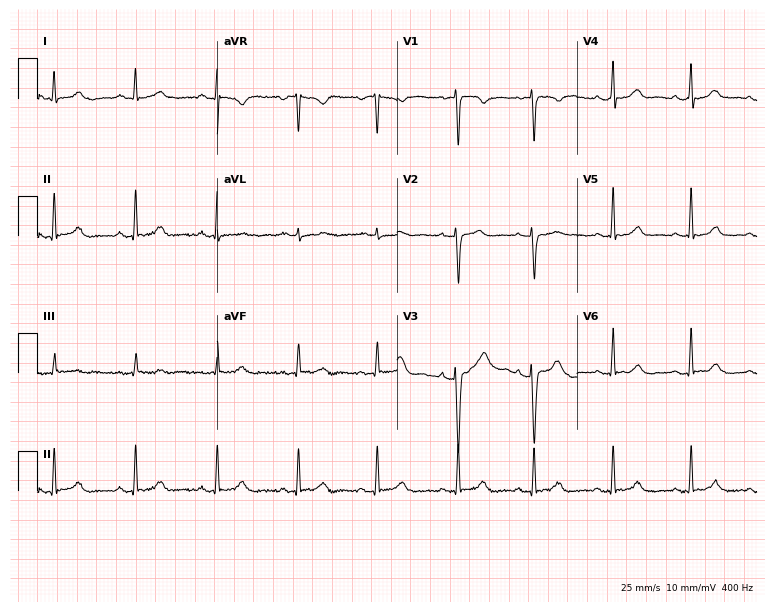
Electrocardiogram, a 22-year-old female. Overall reading on record: normal ECG.